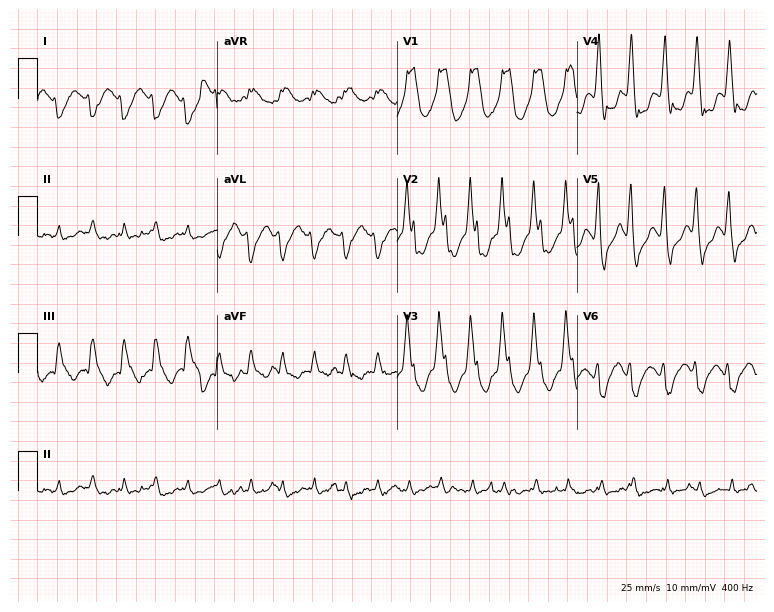
Standard 12-lead ECG recorded from a male, 60 years old. The tracing shows right bundle branch block.